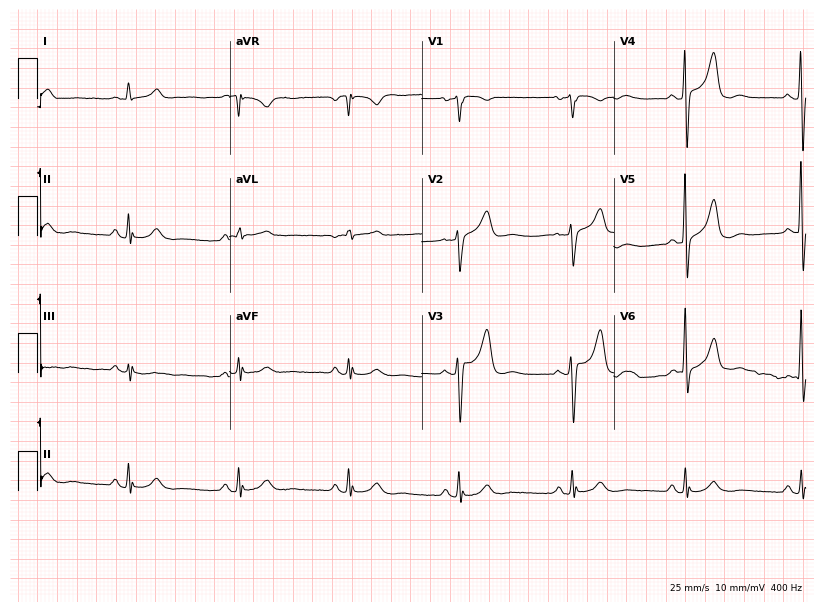
Standard 12-lead ECG recorded from a 74-year-old male. None of these six findings is recorded: first-degree AV block, right bundle branch block (RBBB), left bundle branch block (LBBB), sinus bradycardia, atrial fibrillation (AF), sinus tachycardia.